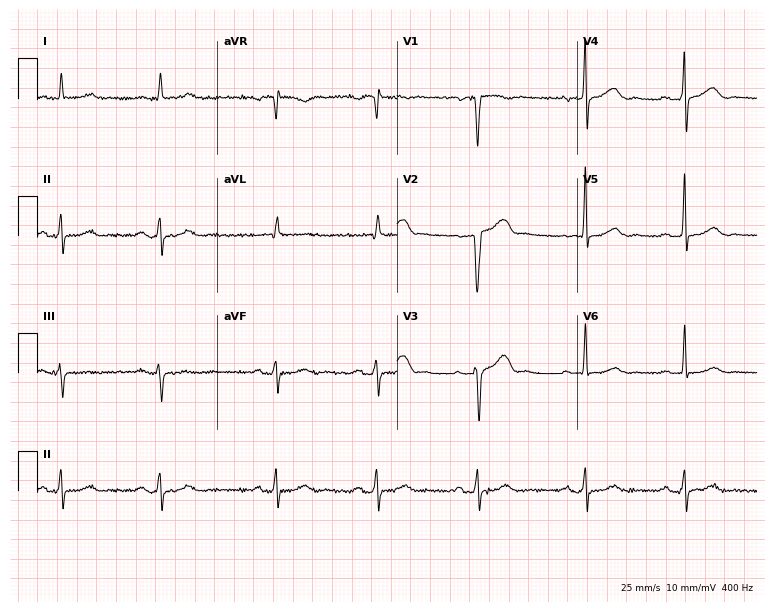
Resting 12-lead electrocardiogram. Patient: a 76-year-old man. Read as a normal ECG.